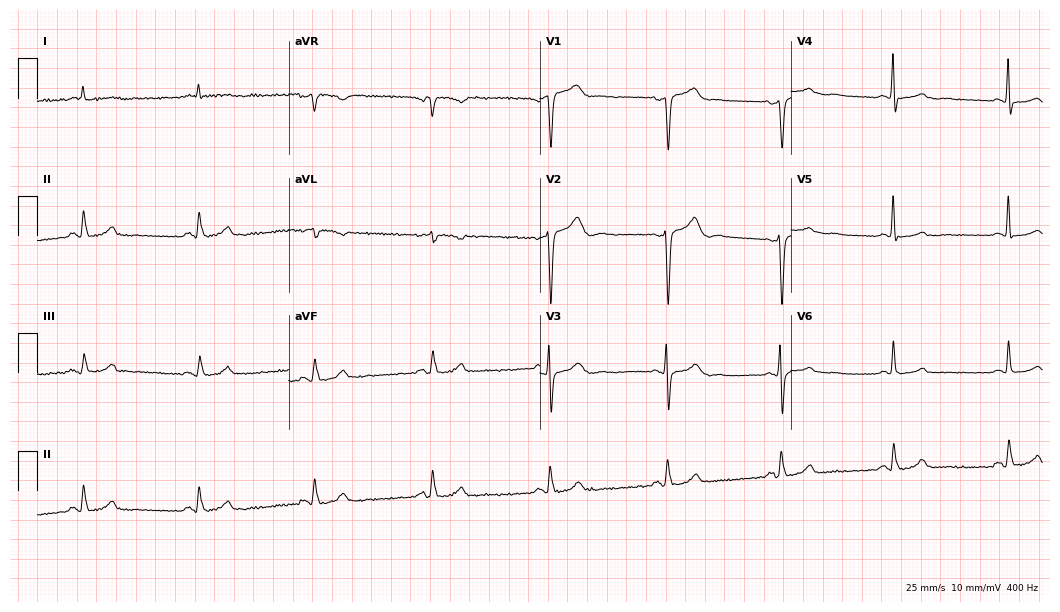
Electrocardiogram (10.2-second recording at 400 Hz), a male, 64 years old. Of the six screened findings (first-degree AV block, right bundle branch block, left bundle branch block, sinus bradycardia, atrial fibrillation, sinus tachycardia), none is recorded.